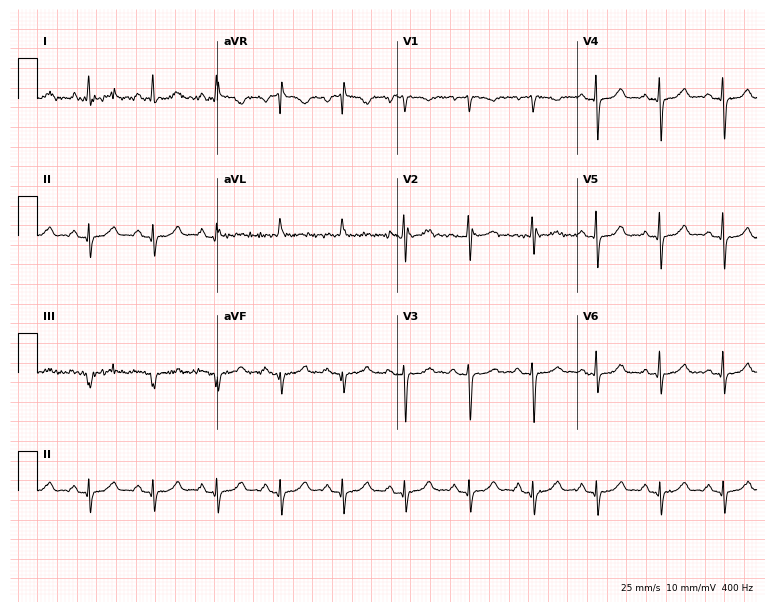
12-lead ECG from a woman, 64 years old. No first-degree AV block, right bundle branch block, left bundle branch block, sinus bradycardia, atrial fibrillation or sinus tachycardia recorded for this tracing. Only these six findings were labelled.